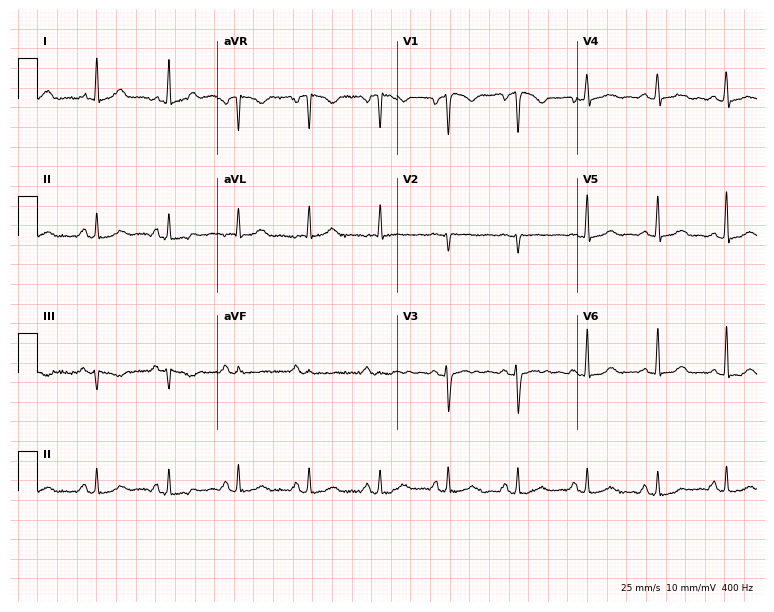
Electrocardiogram, a 32-year-old female. Of the six screened findings (first-degree AV block, right bundle branch block, left bundle branch block, sinus bradycardia, atrial fibrillation, sinus tachycardia), none is recorded.